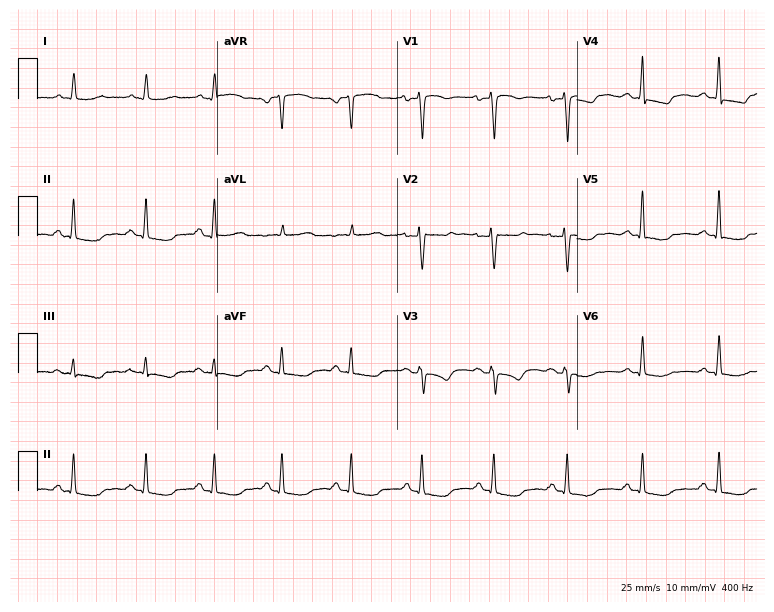
Standard 12-lead ECG recorded from a 43-year-old woman. None of these six findings is recorded: first-degree AV block, right bundle branch block (RBBB), left bundle branch block (LBBB), sinus bradycardia, atrial fibrillation (AF), sinus tachycardia.